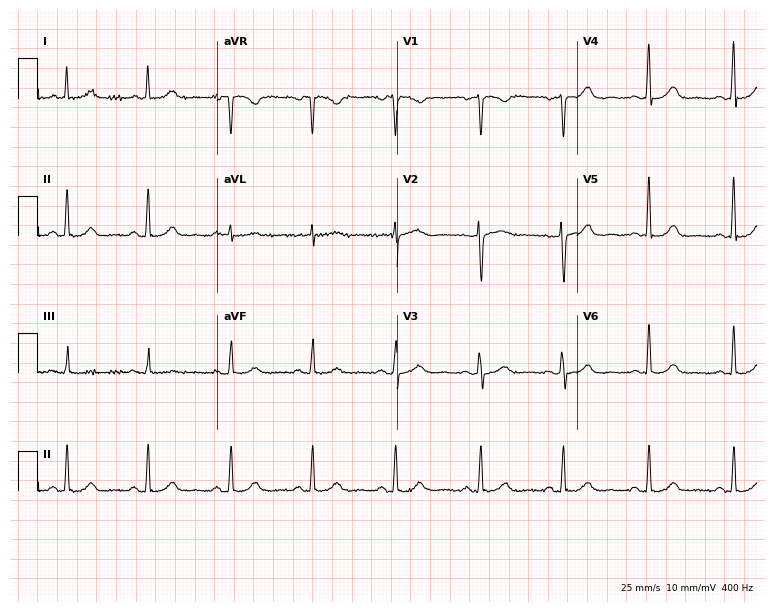
Standard 12-lead ECG recorded from a female, 40 years old. Read as a normal ECG.